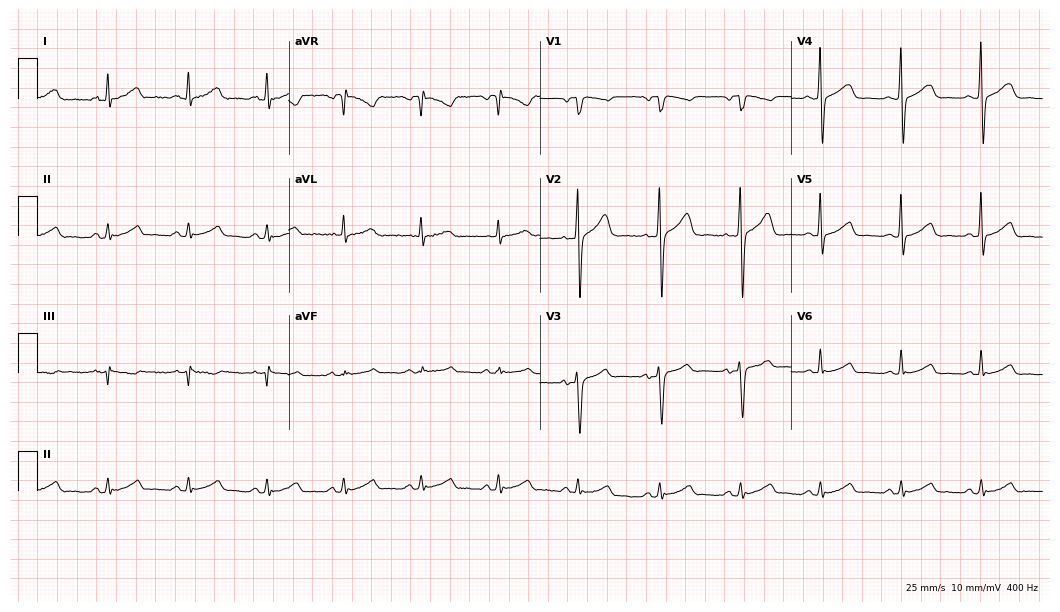
ECG — a man, 53 years old. Screened for six findings — first-degree AV block, right bundle branch block (RBBB), left bundle branch block (LBBB), sinus bradycardia, atrial fibrillation (AF), sinus tachycardia — none is recorded.